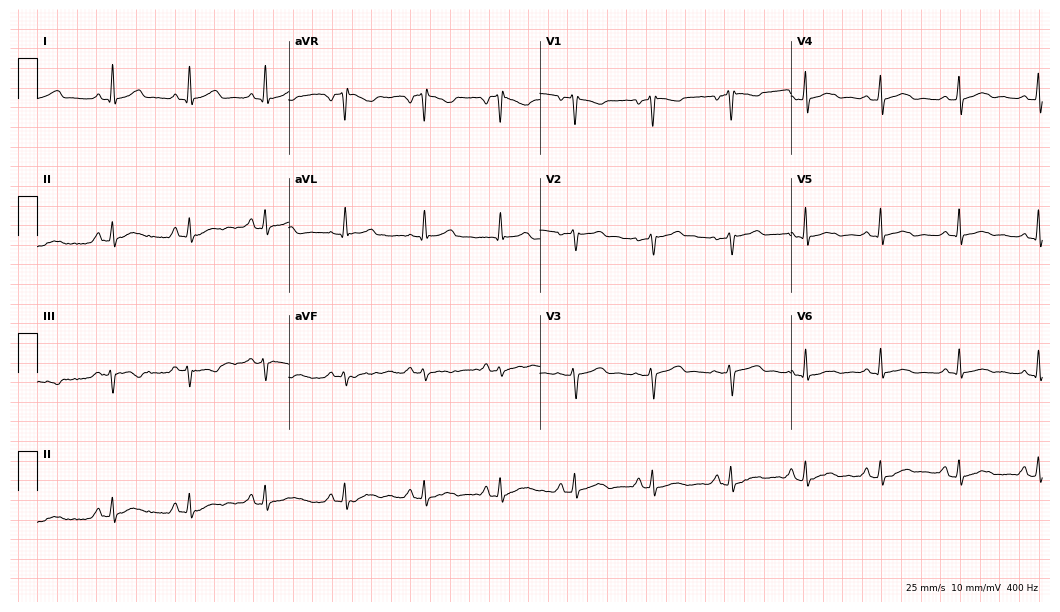
Electrocardiogram (10.2-second recording at 400 Hz), a 46-year-old woman. Overall reading on record: normal ECG.